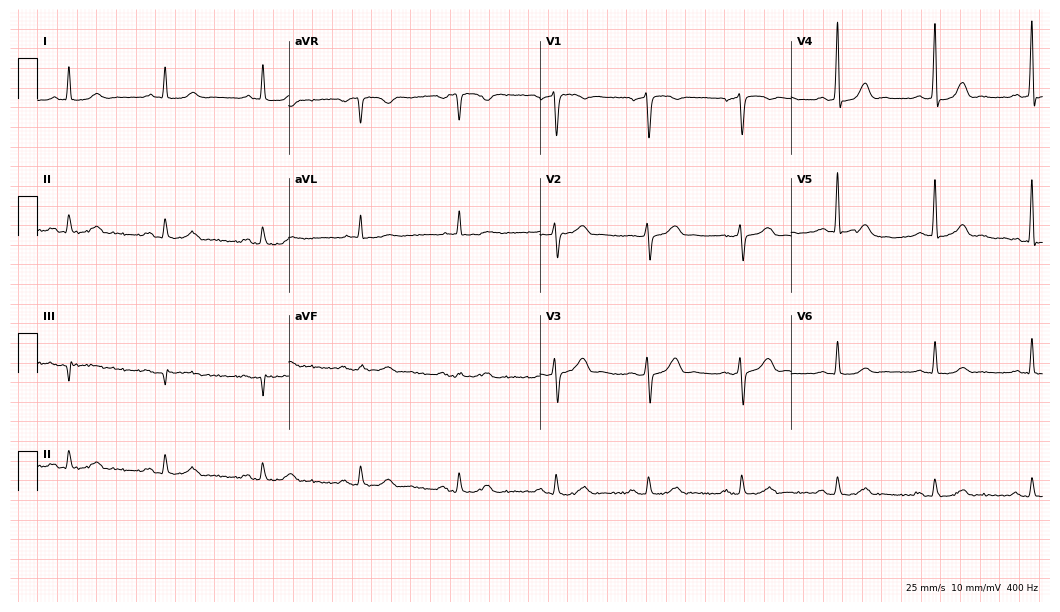
12-lead ECG from a 68-year-old man. Recorded interpretation: within normal limits.